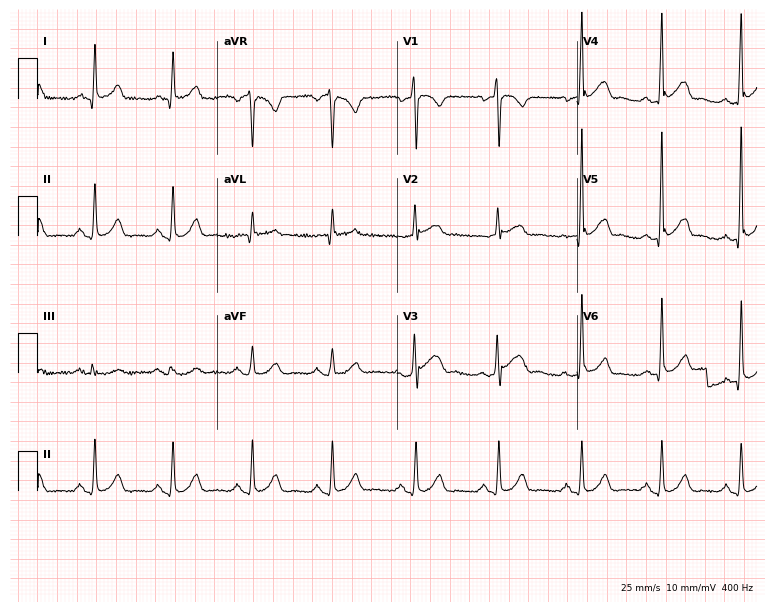
12-lead ECG (7.3-second recording at 400 Hz) from a 51-year-old male. Screened for six findings — first-degree AV block, right bundle branch block, left bundle branch block, sinus bradycardia, atrial fibrillation, sinus tachycardia — none is recorded. Other findings, if any, are not listed.